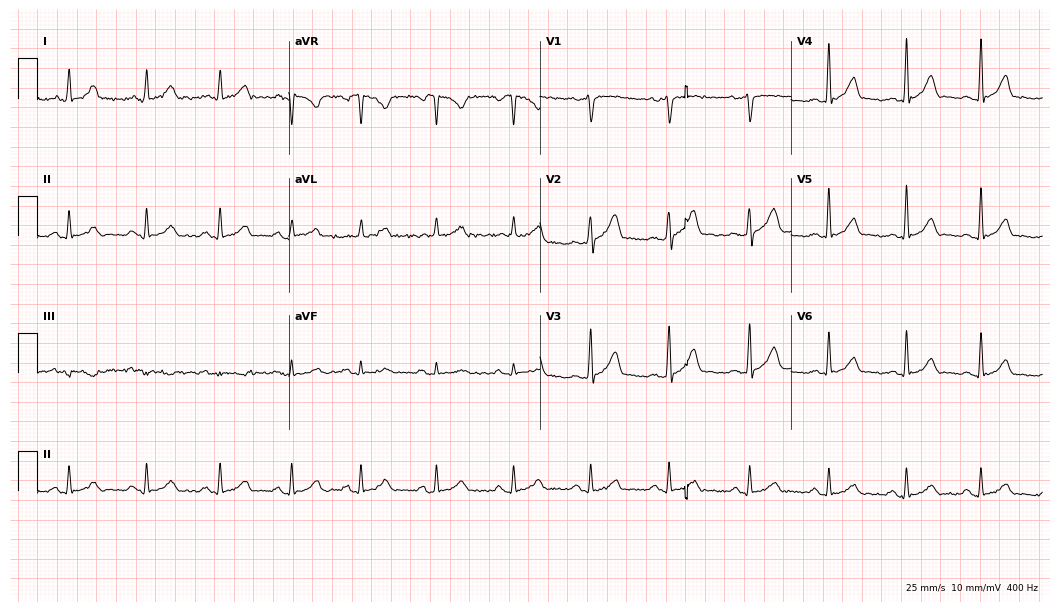
Standard 12-lead ECG recorded from a 36-year-old male. Read as a normal ECG.